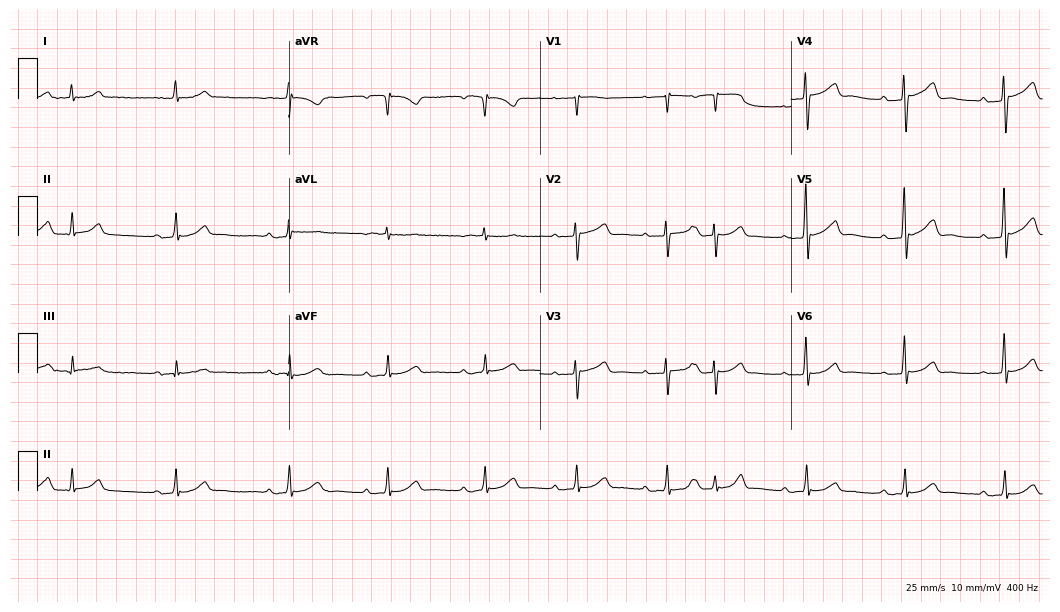
12-lead ECG from a male patient, 77 years old. No first-degree AV block, right bundle branch block, left bundle branch block, sinus bradycardia, atrial fibrillation or sinus tachycardia recorded for this tracing.